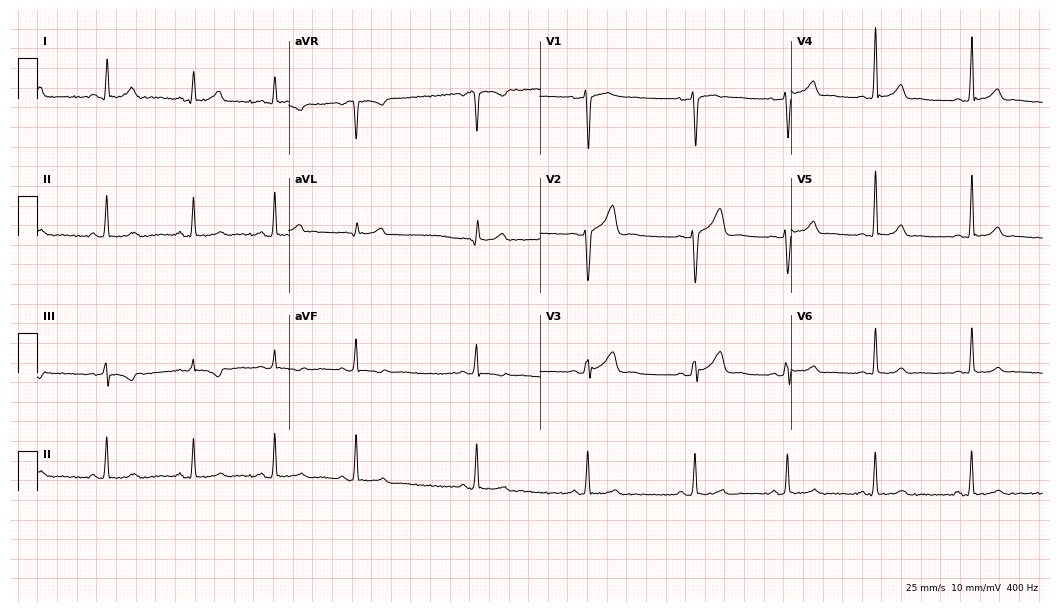
ECG — a 21-year-old female. Labelled as a normal ECG.